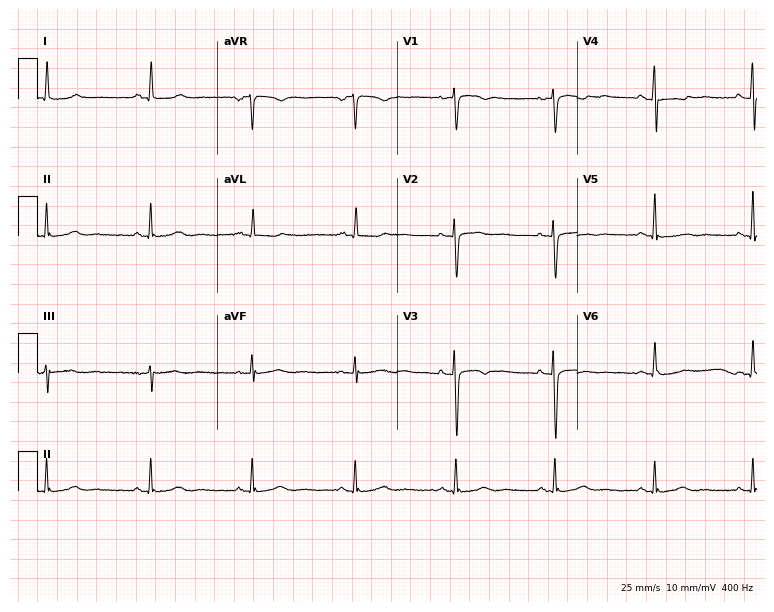
Standard 12-lead ECG recorded from a female patient, 51 years old. Read as a normal ECG.